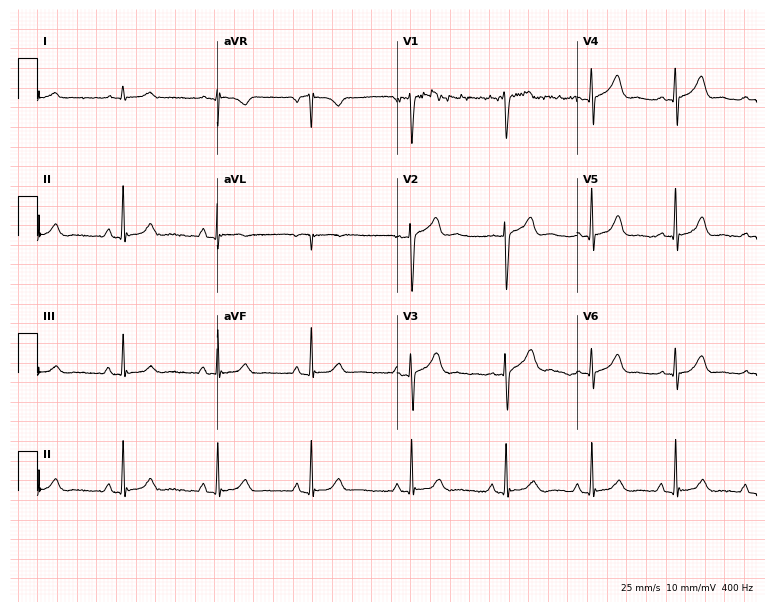
Resting 12-lead electrocardiogram (7.3-second recording at 400 Hz). Patient: a 39-year-old man. None of these six findings is recorded: first-degree AV block, right bundle branch block, left bundle branch block, sinus bradycardia, atrial fibrillation, sinus tachycardia. Other findings, if any, are not listed.